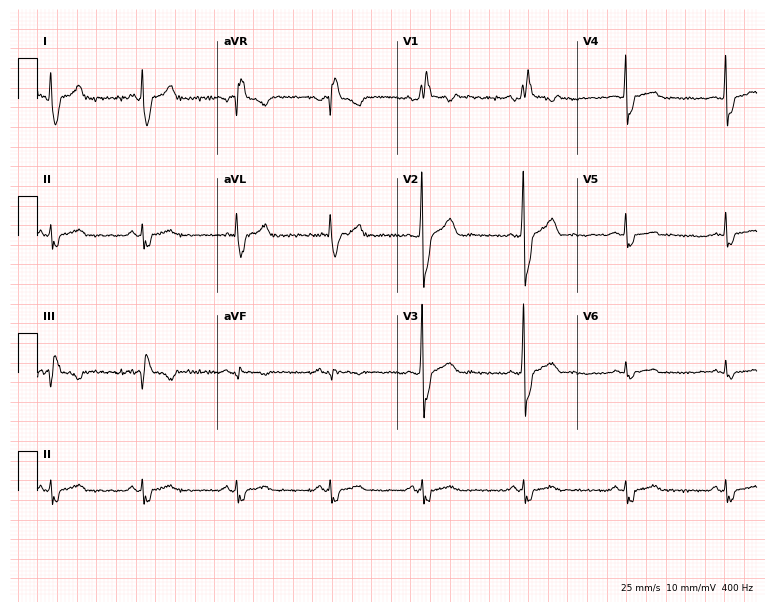
12-lead ECG from a male, 42 years old. Findings include right bundle branch block.